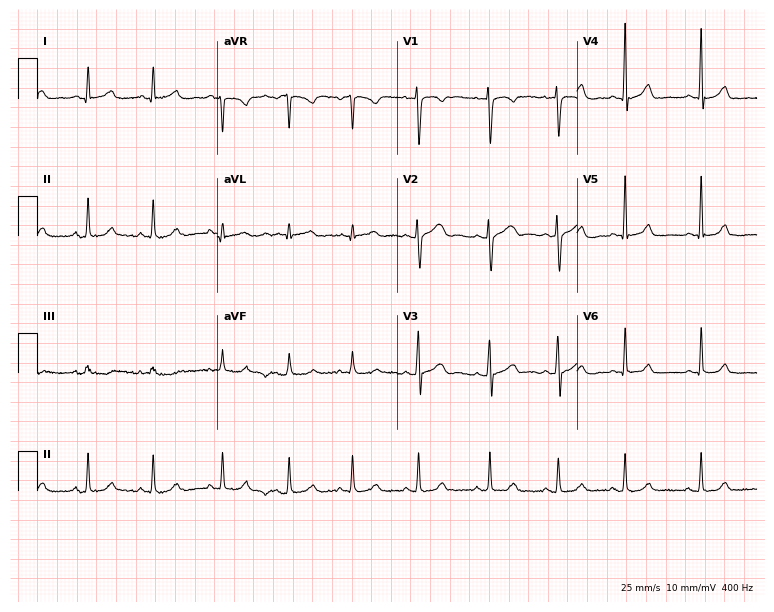
Electrocardiogram (7.3-second recording at 400 Hz), a female patient, 26 years old. Overall reading on record: normal ECG.